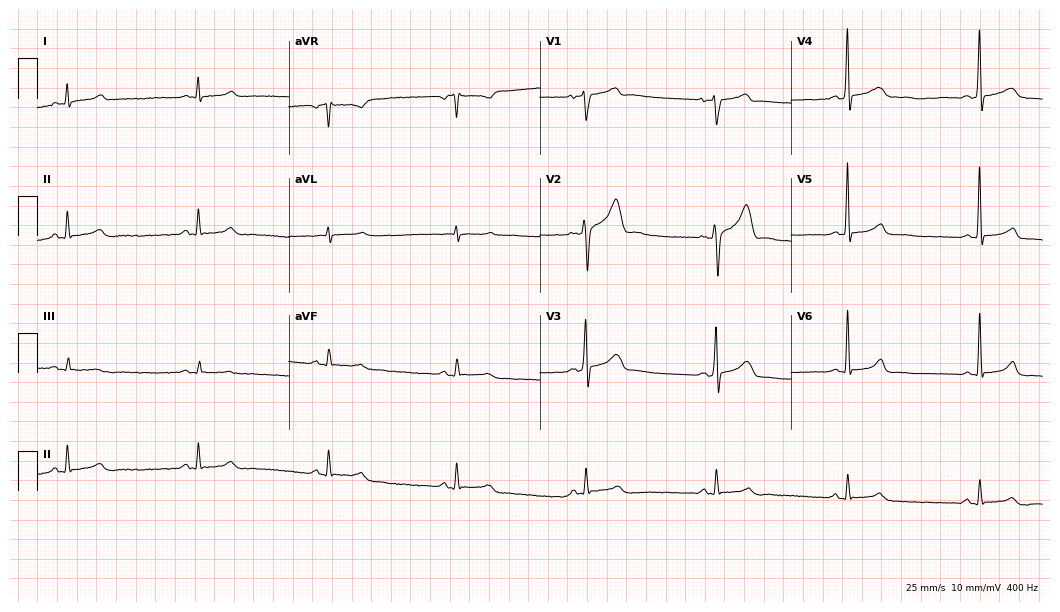
Electrocardiogram, a 55-year-old male. Interpretation includes sinus bradycardia (a sinus rate of 50 beats per minute or less).